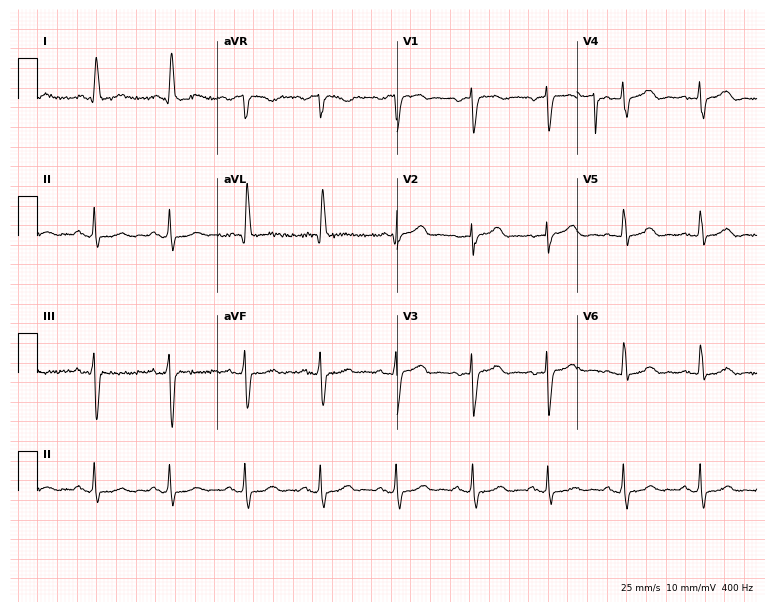
Resting 12-lead electrocardiogram (7.3-second recording at 400 Hz). Patient: an 82-year-old woman. None of these six findings is recorded: first-degree AV block, right bundle branch block (RBBB), left bundle branch block (LBBB), sinus bradycardia, atrial fibrillation (AF), sinus tachycardia.